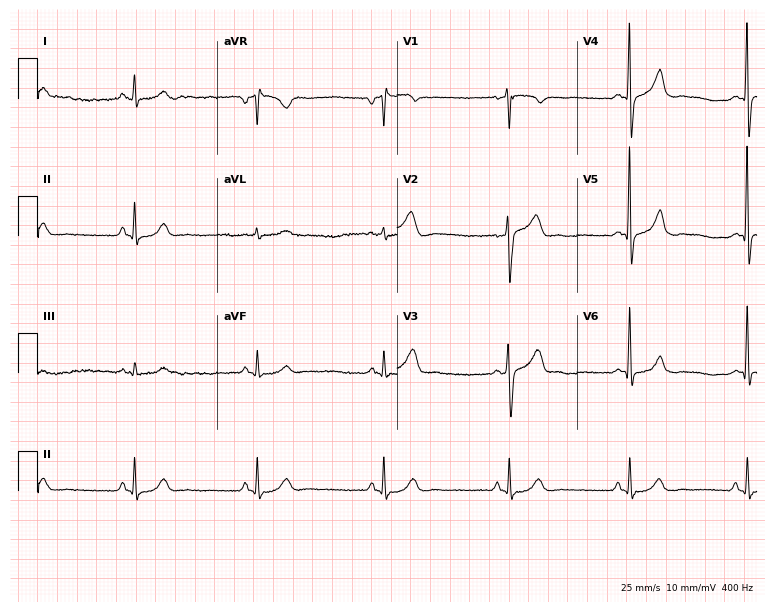
Resting 12-lead electrocardiogram. Patient: a man, 47 years old. None of these six findings is recorded: first-degree AV block, right bundle branch block, left bundle branch block, sinus bradycardia, atrial fibrillation, sinus tachycardia. Only these six findings were labelled.